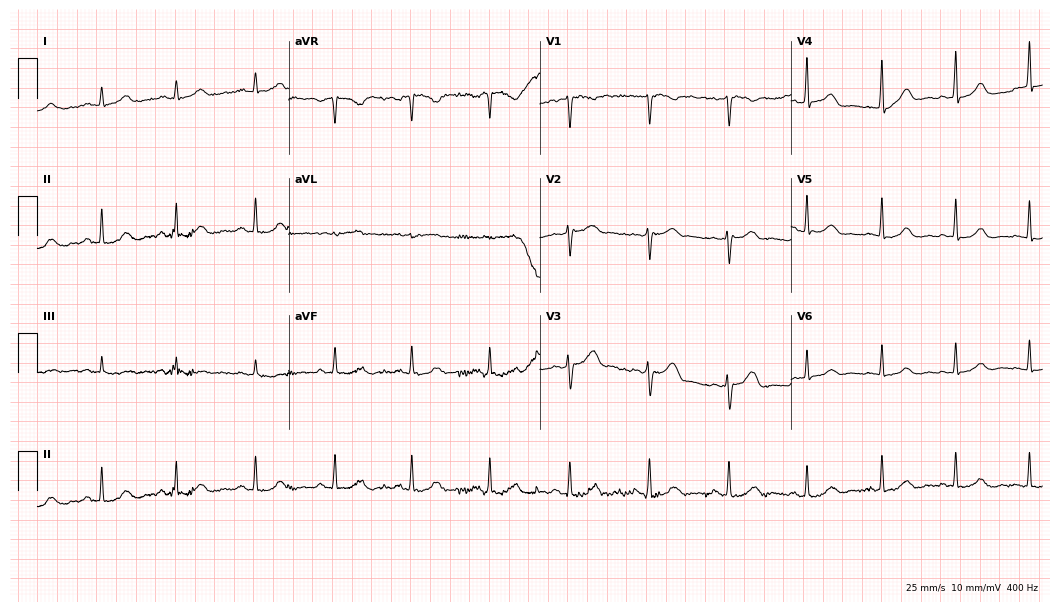
12-lead ECG from a 41-year-old woman. Recorded interpretation: within normal limits.